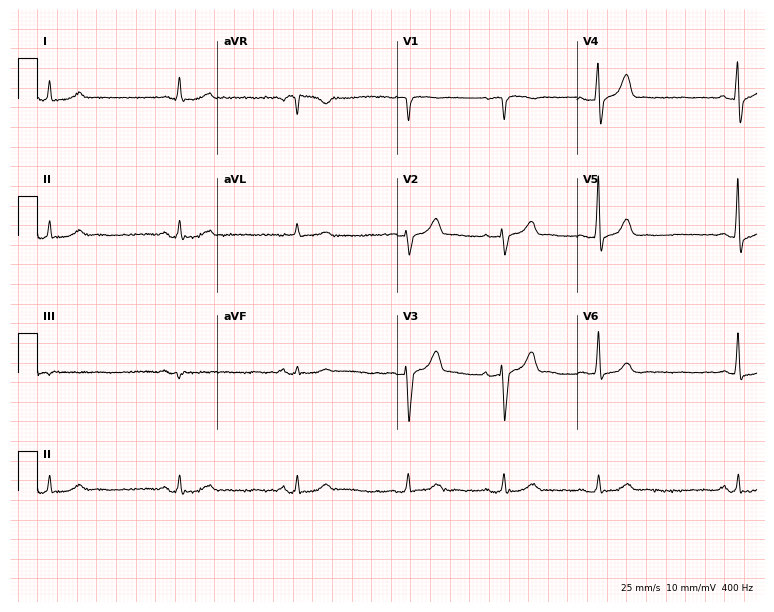
Standard 12-lead ECG recorded from a man, 85 years old. None of these six findings is recorded: first-degree AV block, right bundle branch block, left bundle branch block, sinus bradycardia, atrial fibrillation, sinus tachycardia.